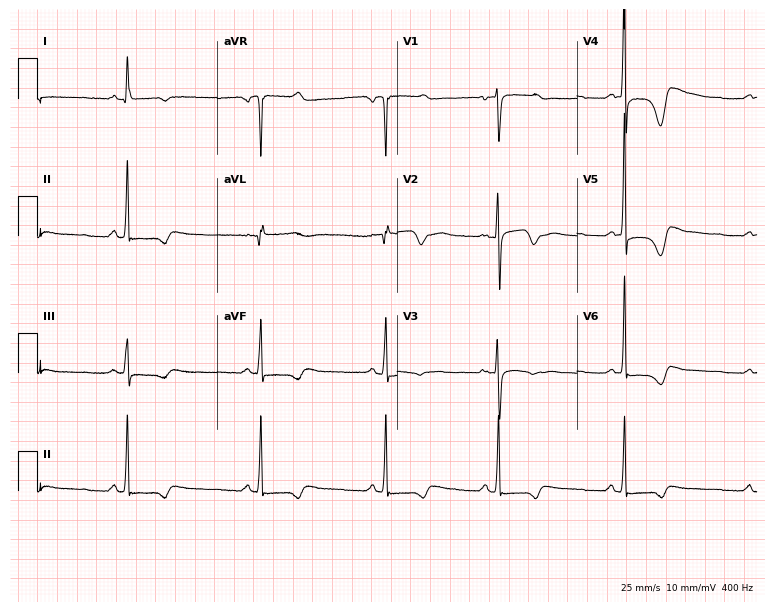
12-lead ECG from a female, 47 years old (7.3-second recording at 400 Hz). Shows sinus bradycardia (a sinus rate of 50 beats per minute or less).